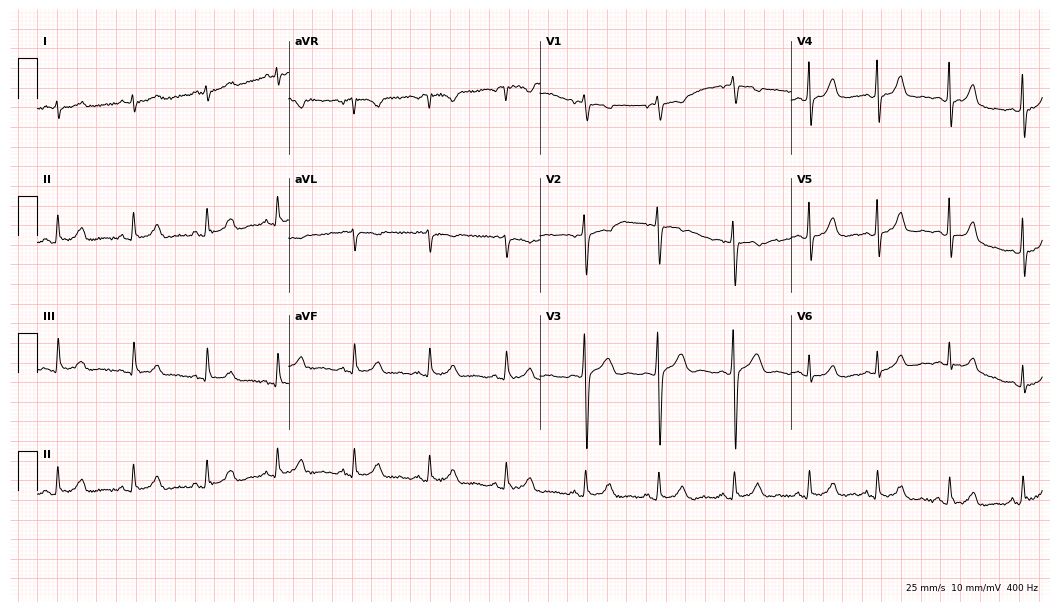
Resting 12-lead electrocardiogram. Patient: a 19-year-old male. Read as a normal ECG.